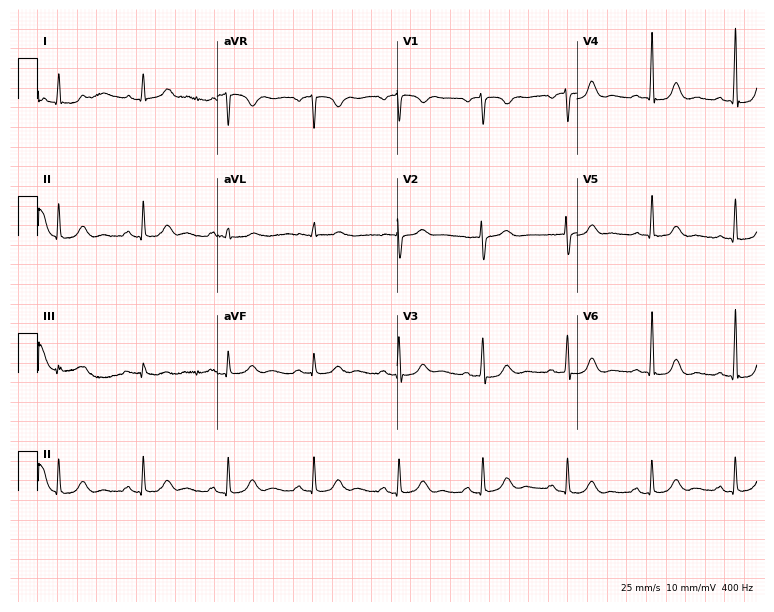
12-lead ECG from a 70-year-old female patient. Recorded interpretation: within normal limits.